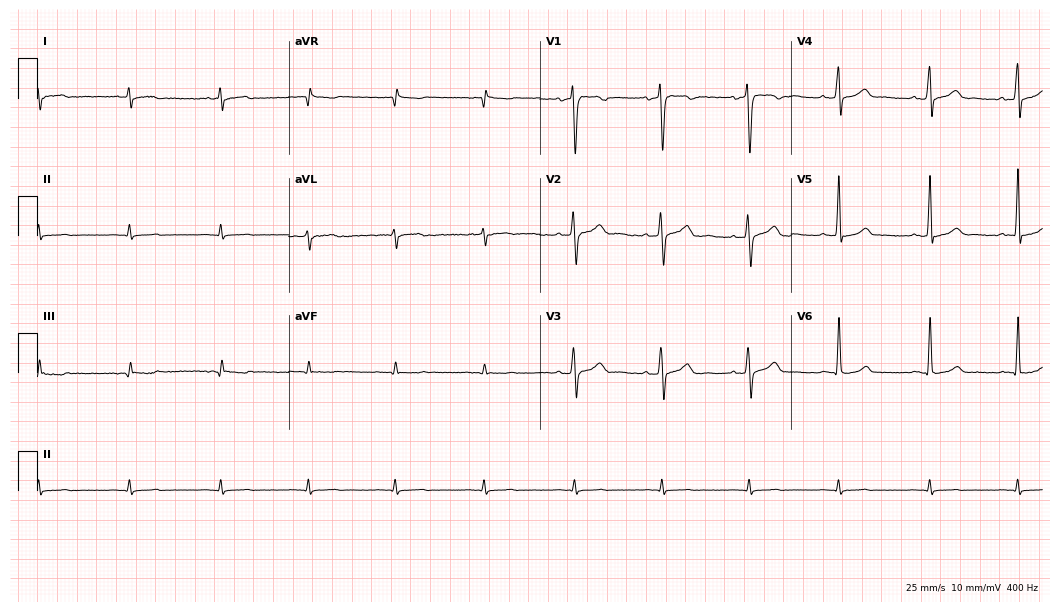
12-lead ECG from a 45-year-old male (10.2-second recording at 400 Hz). Recorded interpretation: within normal limits.